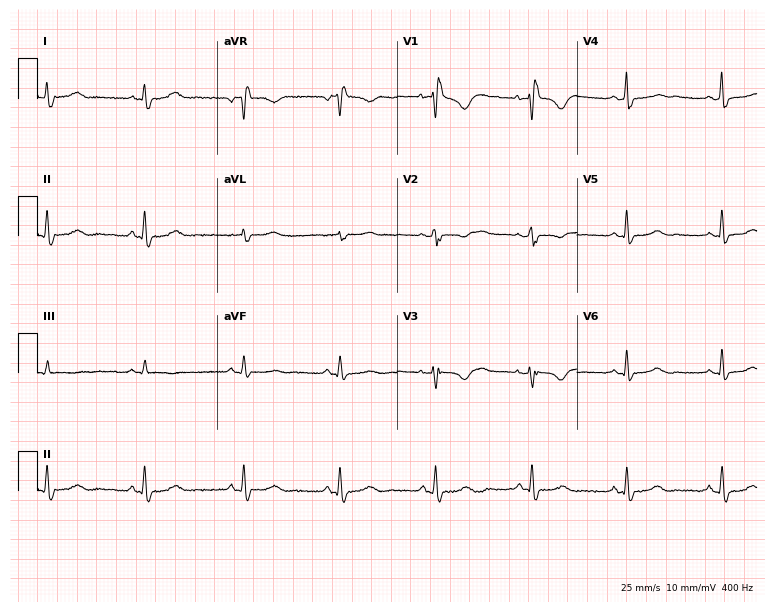
Resting 12-lead electrocardiogram. Patient: a woman, 46 years old. None of these six findings is recorded: first-degree AV block, right bundle branch block (RBBB), left bundle branch block (LBBB), sinus bradycardia, atrial fibrillation (AF), sinus tachycardia. Other findings, if any, are not listed.